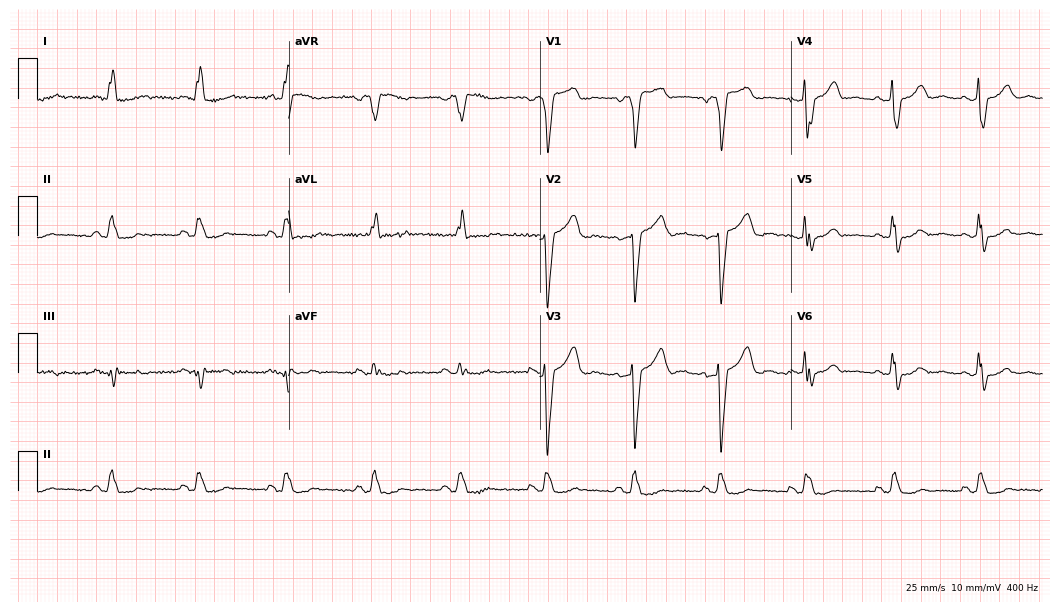
12-lead ECG from a female, 66 years old (10.2-second recording at 400 Hz). Shows left bundle branch block (LBBB).